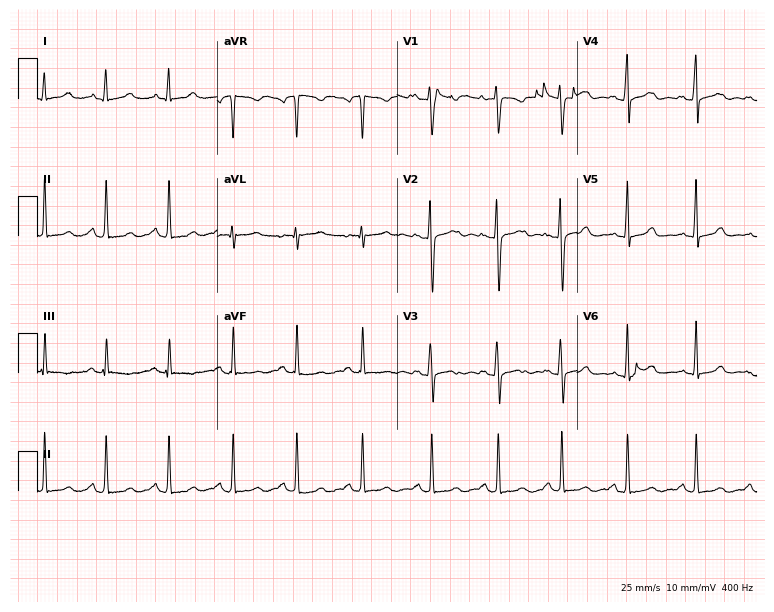
Electrocardiogram, a female, 20 years old. Of the six screened findings (first-degree AV block, right bundle branch block, left bundle branch block, sinus bradycardia, atrial fibrillation, sinus tachycardia), none is recorded.